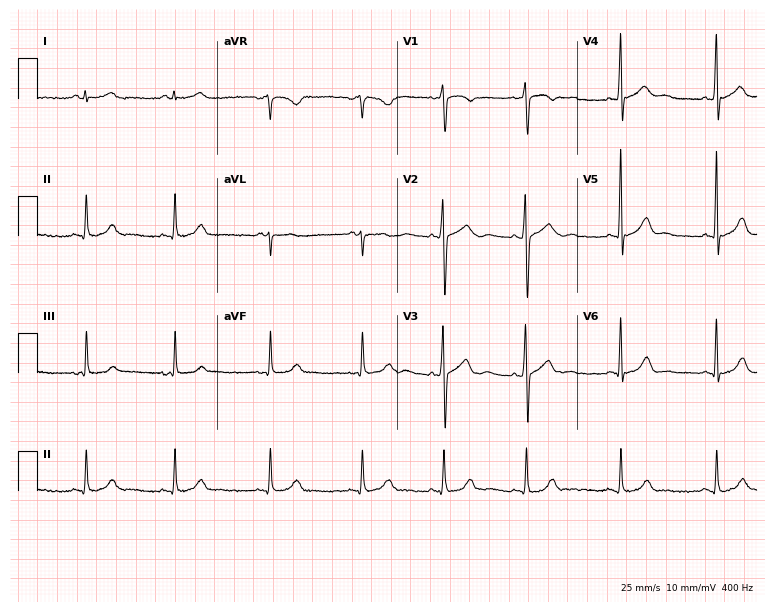
Resting 12-lead electrocardiogram (7.3-second recording at 400 Hz). Patient: a 29-year-old woman. Read as a normal ECG.